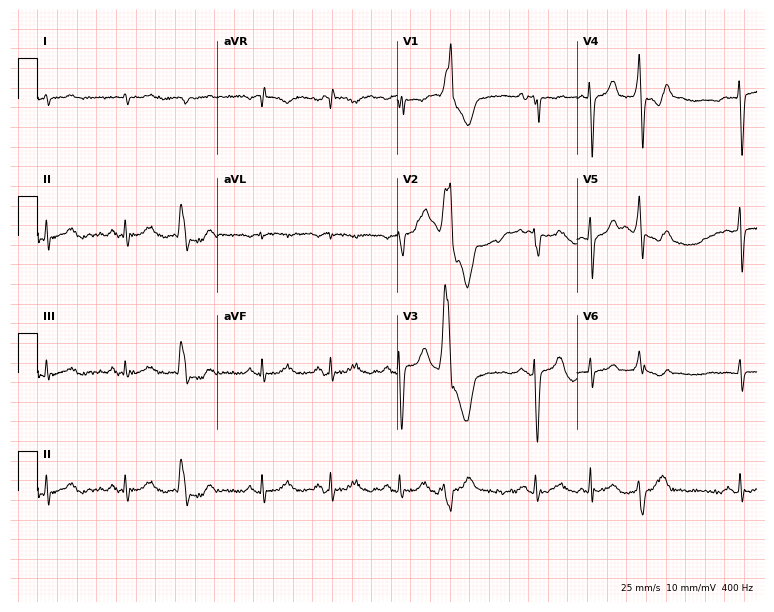
Electrocardiogram (7.3-second recording at 400 Hz), a male, 82 years old. Of the six screened findings (first-degree AV block, right bundle branch block, left bundle branch block, sinus bradycardia, atrial fibrillation, sinus tachycardia), none is recorded. Findings outside these six are not listed.